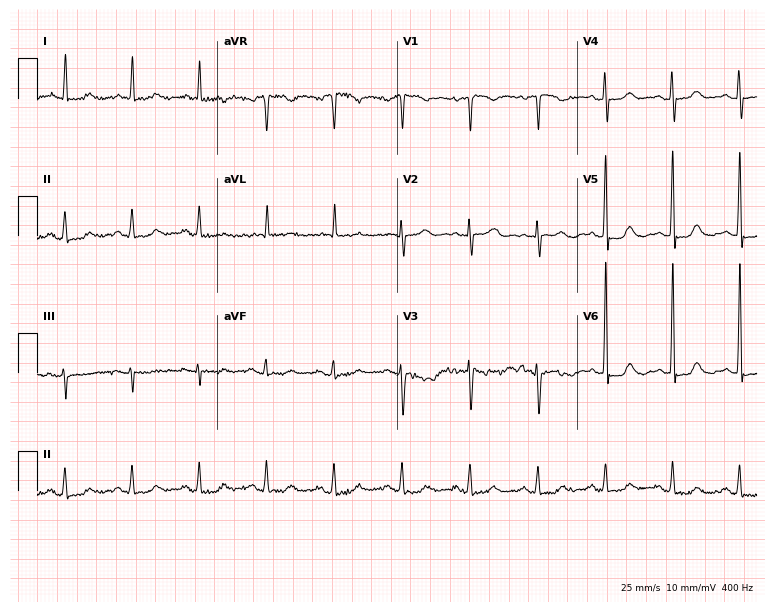
12-lead ECG from a female, 82 years old. Screened for six findings — first-degree AV block, right bundle branch block, left bundle branch block, sinus bradycardia, atrial fibrillation, sinus tachycardia — none is recorded. Other findings, if any, are not listed.